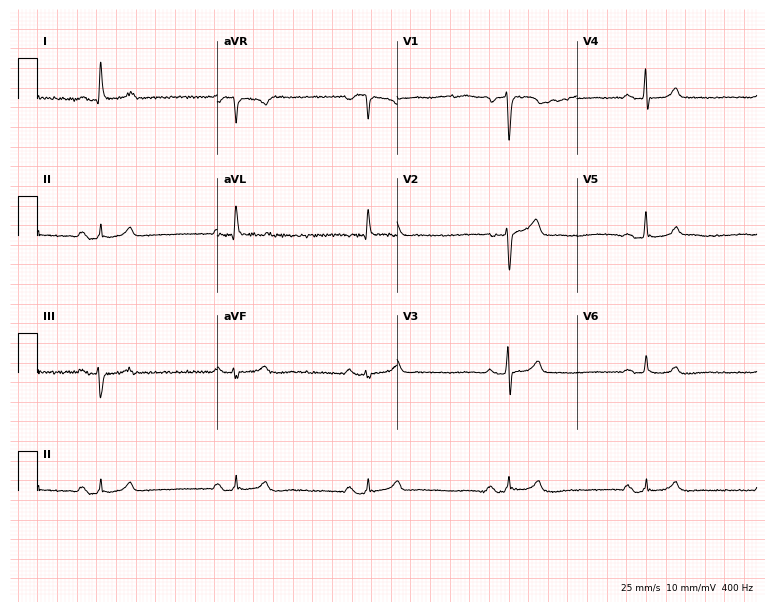
Resting 12-lead electrocardiogram (7.3-second recording at 400 Hz). Patient: a 72-year-old male. The tracing shows sinus bradycardia (a sinus rate of 50 beats per minute or less).